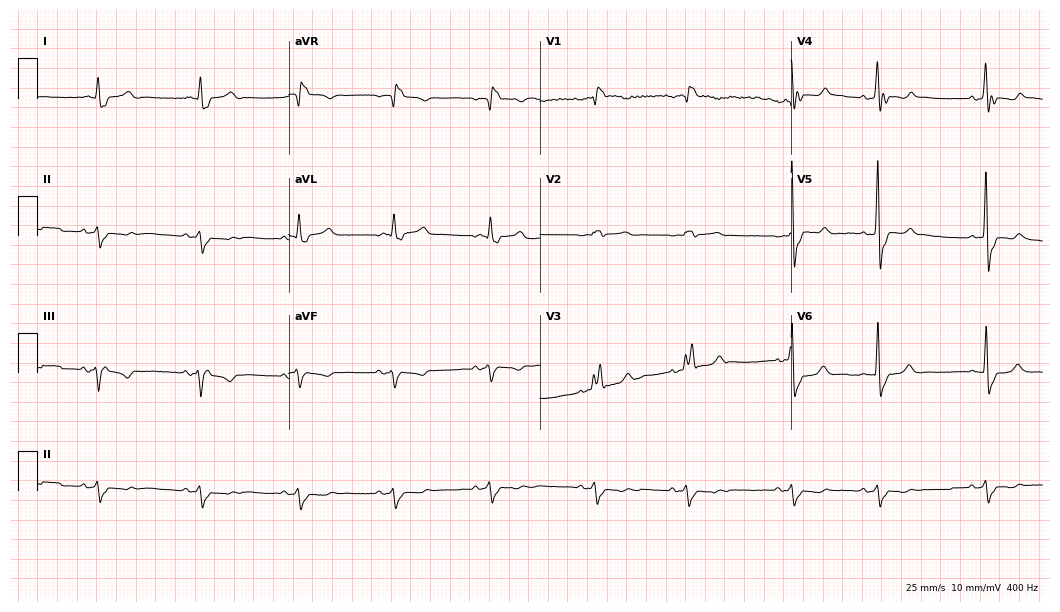
Resting 12-lead electrocardiogram (10.2-second recording at 400 Hz). Patient: a 71-year-old male. The tracing shows right bundle branch block.